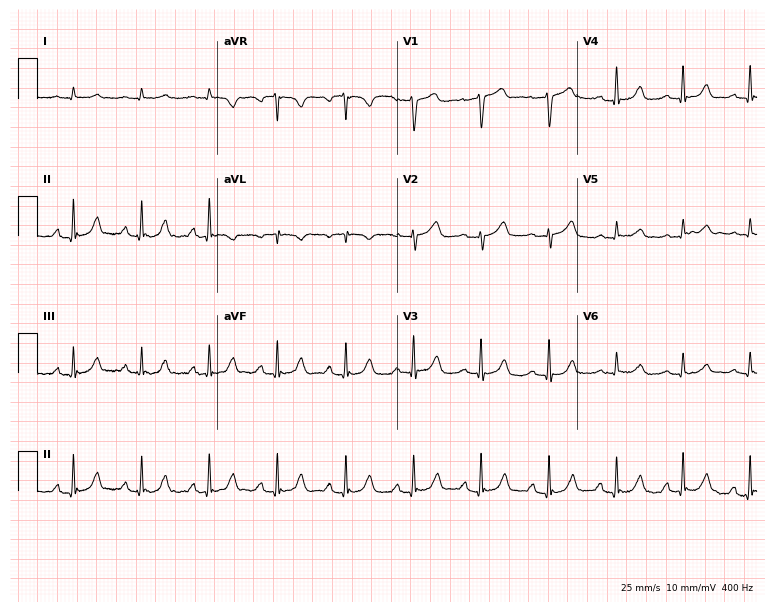
Standard 12-lead ECG recorded from a man, 80 years old (7.3-second recording at 400 Hz). Read as a normal ECG.